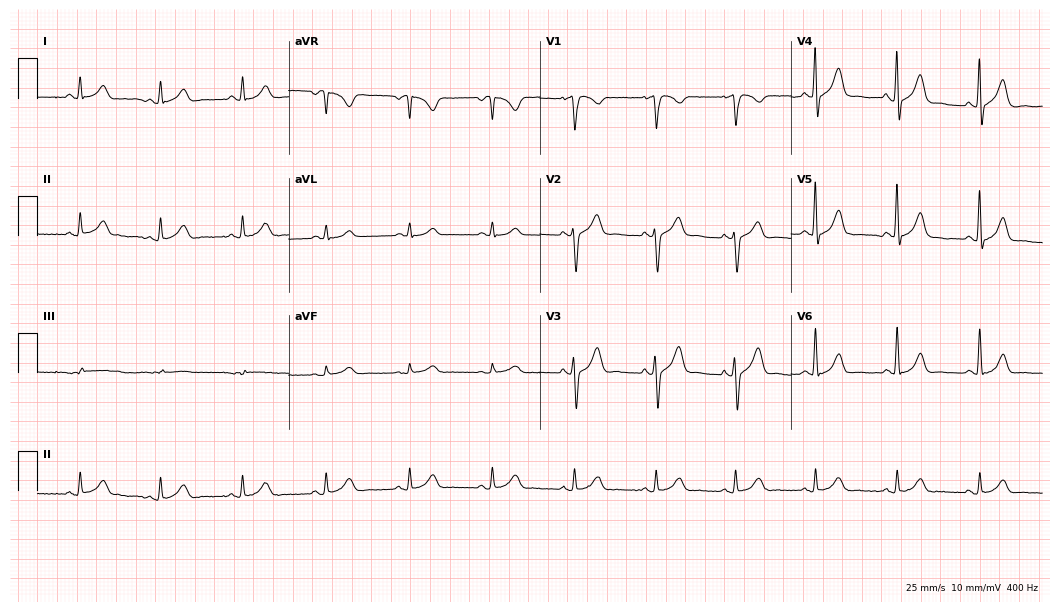
12-lead ECG from a male patient, 64 years old (10.2-second recording at 400 Hz). Recorded interpretation: within normal limits.